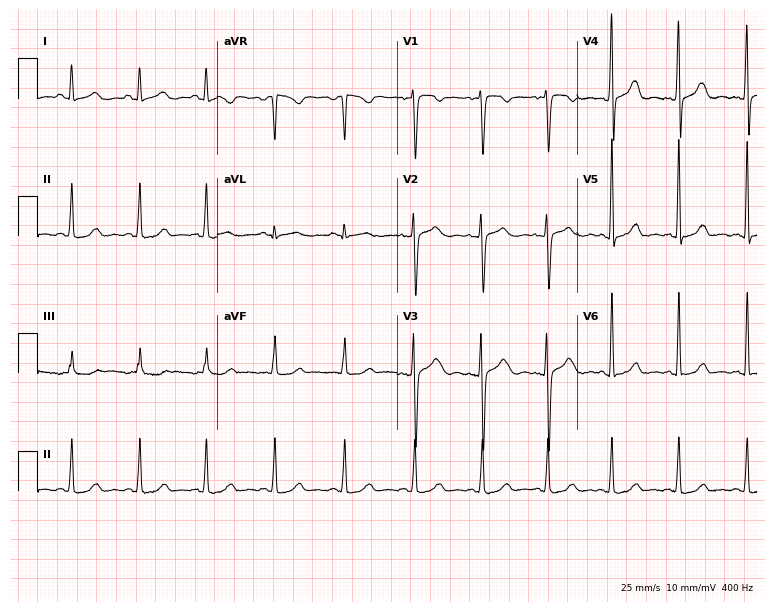
ECG — a woman, 22 years old. Labelled as a normal ECG.